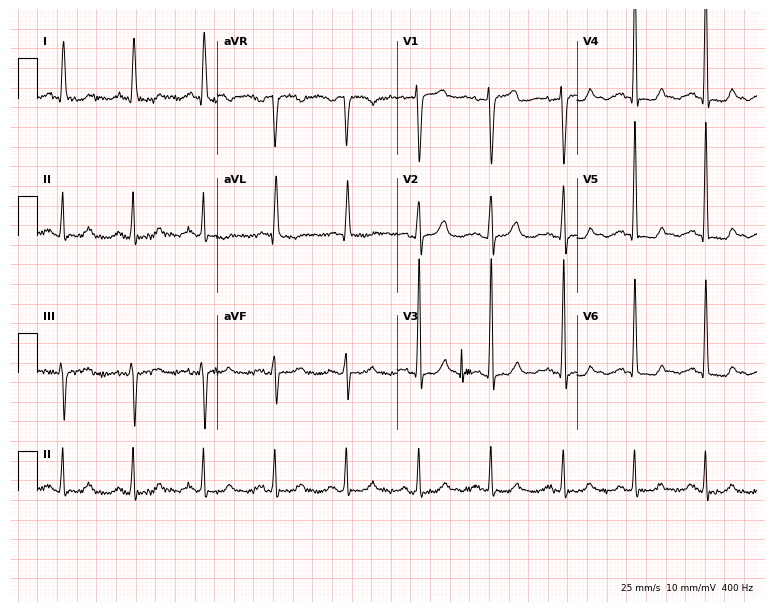
Electrocardiogram, a woman, 77 years old. Of the six screened findings (first-degree AV block, right bundle branch block, left bundle branch block, sinus bradycardia, atrial fibrillation, sinus tachycardia), none is recorded.